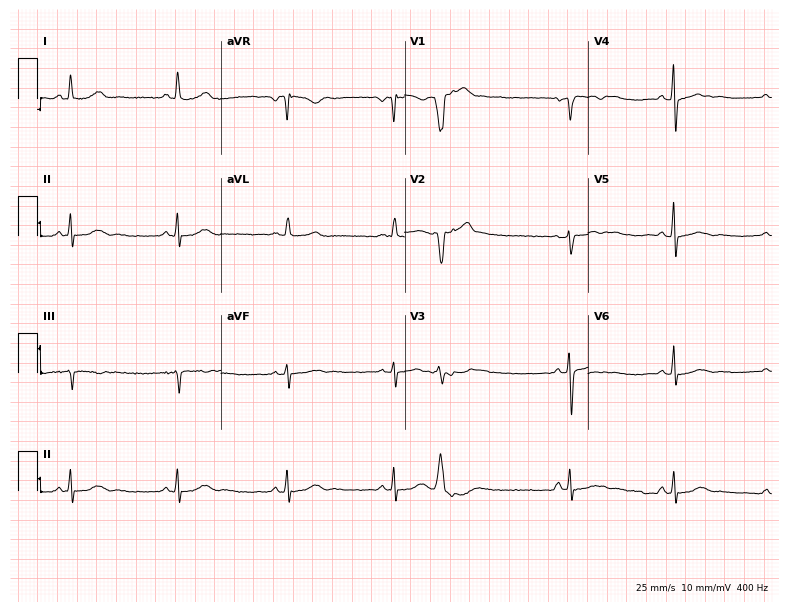
ECG — a woman, 48 years old. Labelled as a normal ECG.